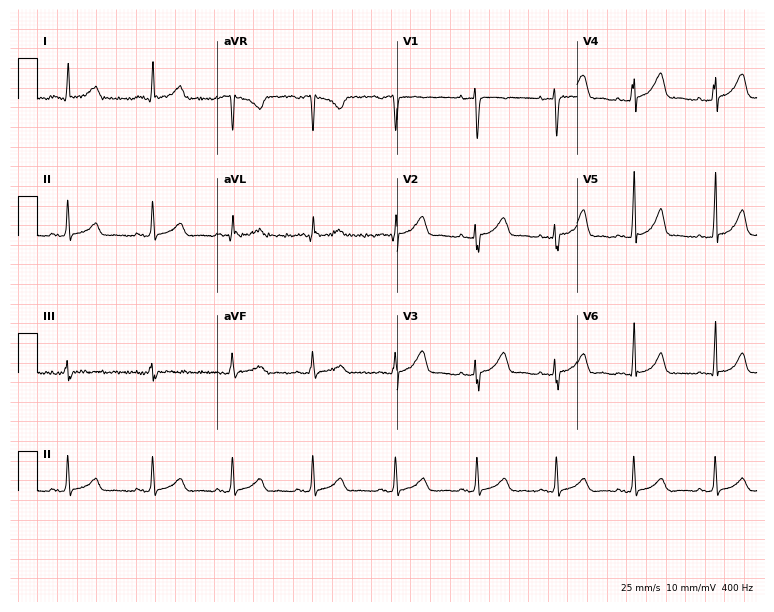
Electrocardiogram, a female patient, 38 years old. Overall reading on record: normal ECG.